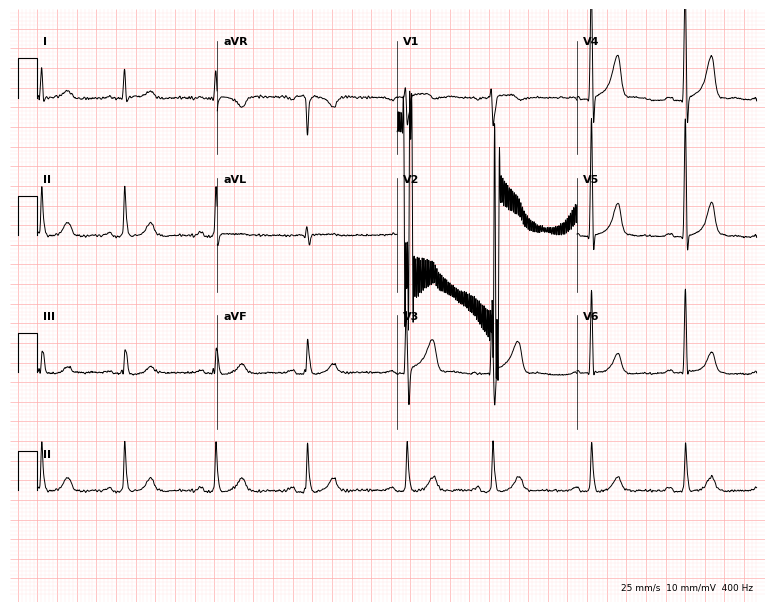
Resting 12-lead electrocardiogram. Patient: a 72-year-old male. Read as a normal ECG.